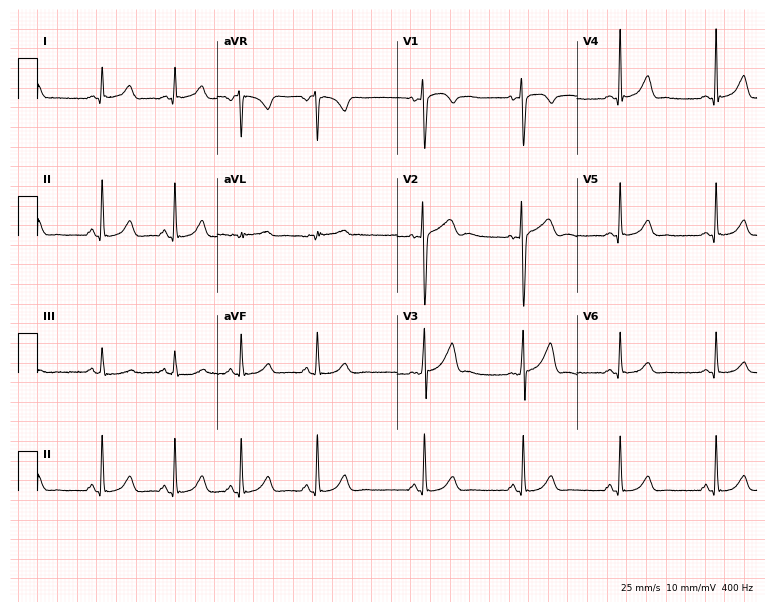
12-lead ECG from a 31-year-old female patient (7.3-second recording at 400 Hz). No first-degree AV block, right bundle branch block, left bundle branch block, sinus bradycardia, atrial fibrillation or sinus tachycardia recorded for this tracing. Only these six findings were labelled.